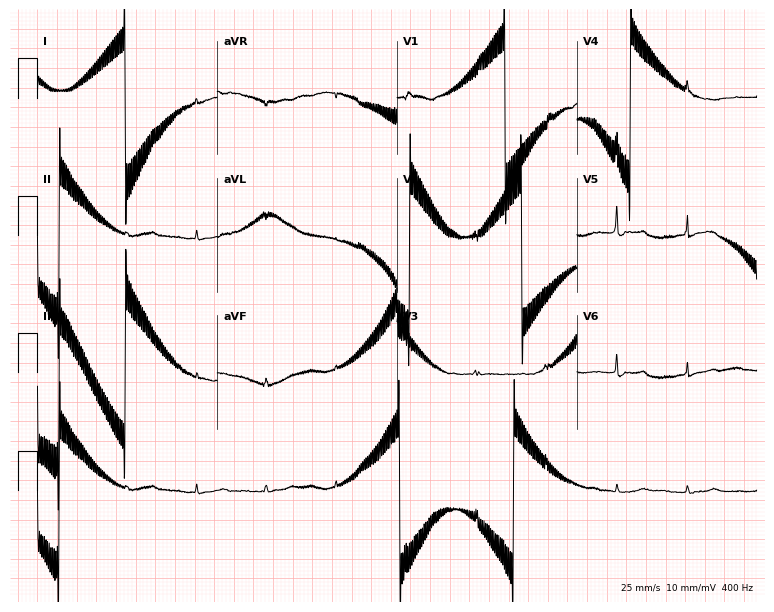
Resting 12-lead electrocardiogram (7.3-second recording at 400 Hz). Patient: a 65-year-old female. None of these six findings is recorded: first-degree AV block, right bundle branch block, left bundle branch block, sinus bradycardia, atrial fibrillation, sinus tachycardia.